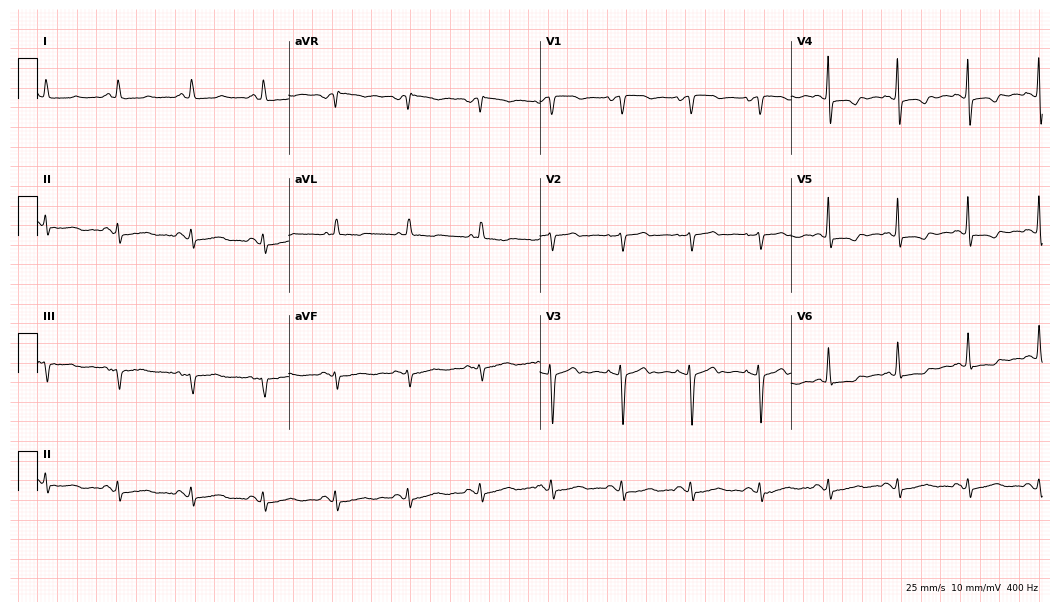
Resting 12-lead electrocardiogram (10.2-second recording at 400 Hz). Patient: a female, 33 years old. None of these six findings is recorded: first-degree AV block, right bundle branch block (RBBB), left bundle branch block (LBBB), sinus bradycardia, atrial fibrillation (AF), sinus tachycardia. Findings outside these six are not listed.